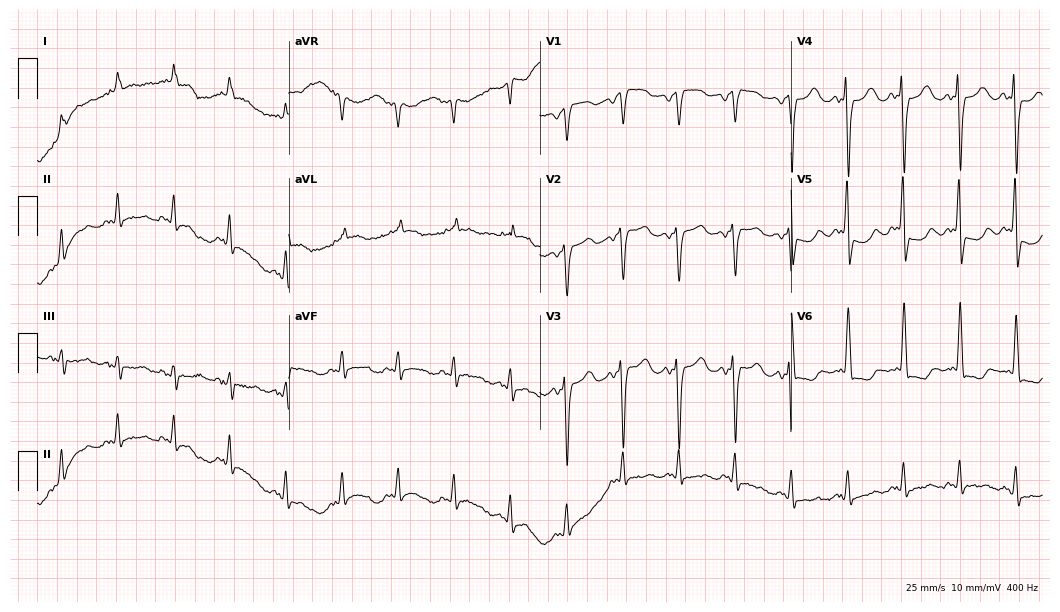
Standard 12-lead ECG recorded from a 71-year-old female (10.2-second recording at 400 Hz). None of these six findings is recorded: first-degree AV block, right bundle branch block (RBBB), left bundle branch block (LBBB), sinus bradycardia, atrial fibrillation (AF), sinus tachycardia. Only these six findings were labelled.